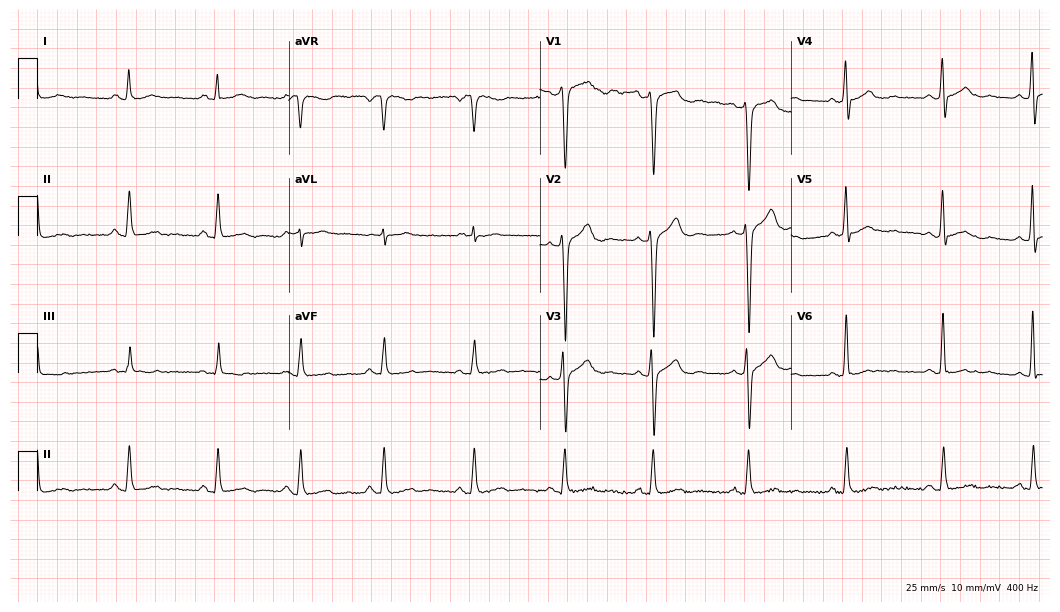
12-lead ECG from a 42-year-old man. No first-degree AV block, right bundle branch block (RBBB), left bundle branch block (LBBB), sinus bradycardia, atrial fibrillation (AF) or sinus tachycardia recorded for this tracing.